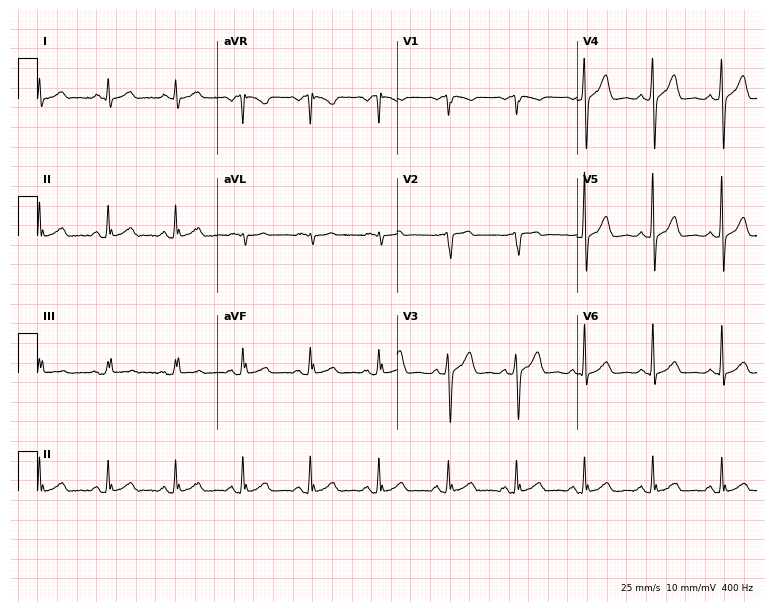
12-lead ECG from a 73-year-old man. Recorded interpretation: within normal limits.